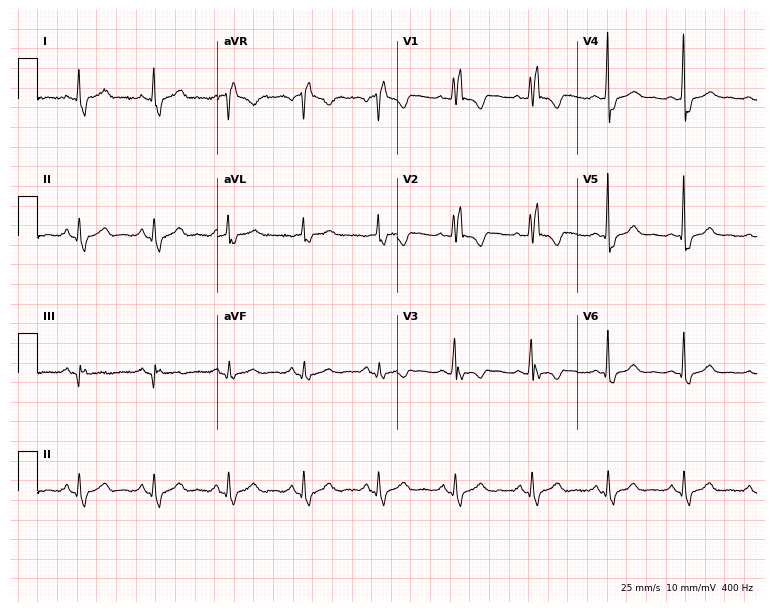
ECG — a male patient, 54 years old. Findings include right bundle branch block.